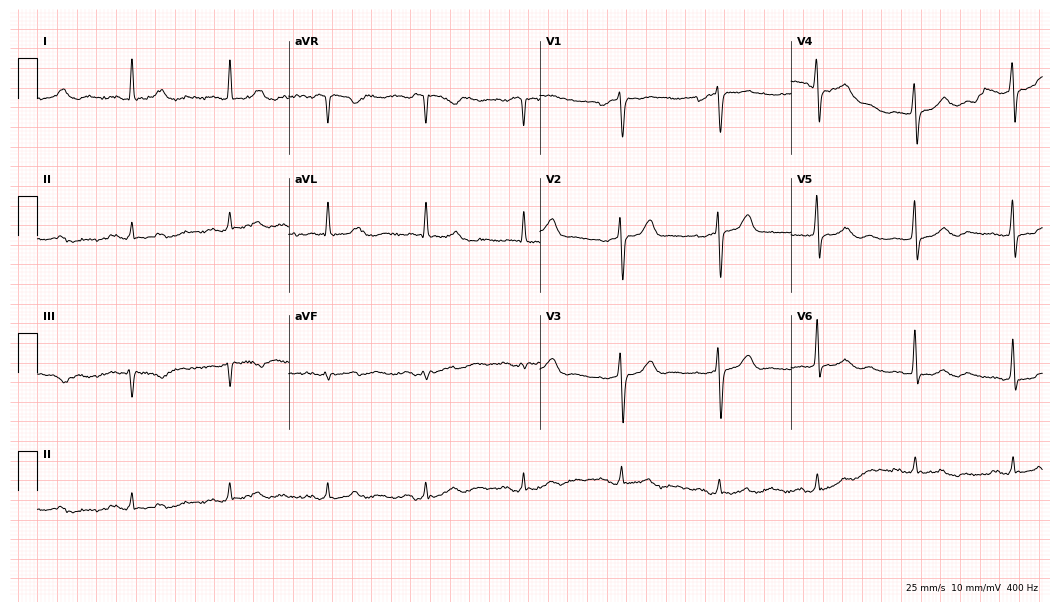
ECG (10.2-second recording at 400 Hz) — a 55-year-old man. Screened for six findings — first-degree AV block, right bundle branch block, left bundle branch block, sinus bradycardia, atrial fibrillation, sinus tachycardia — none is recorded. Findings outside these six are not listed.